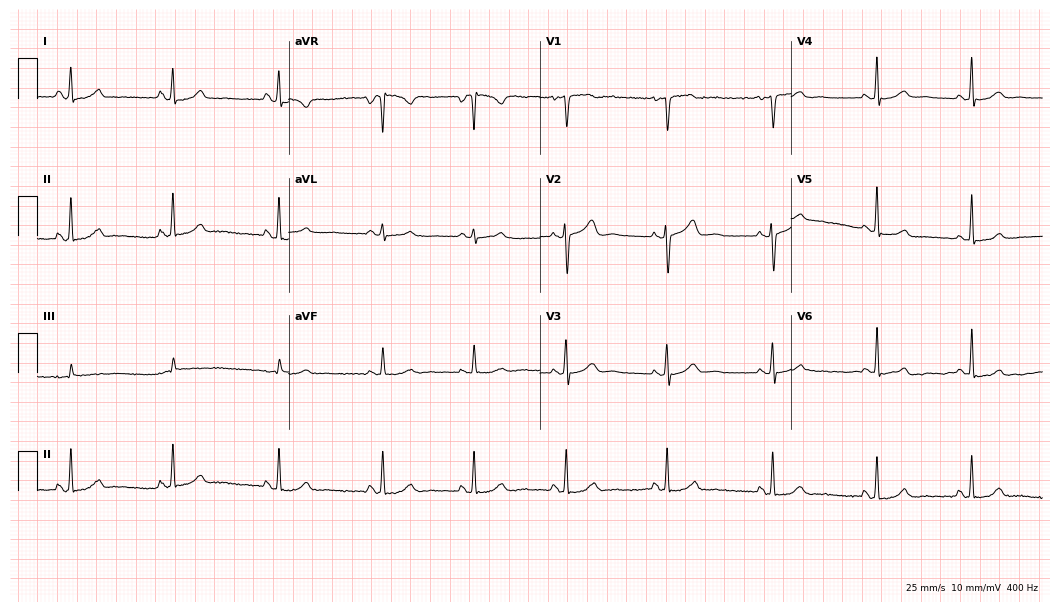
Resting 12-lead electrocardiogram (10.2-second recording at 400 Hz). Patient: a 31-year-old female. Read as a normal ECG.